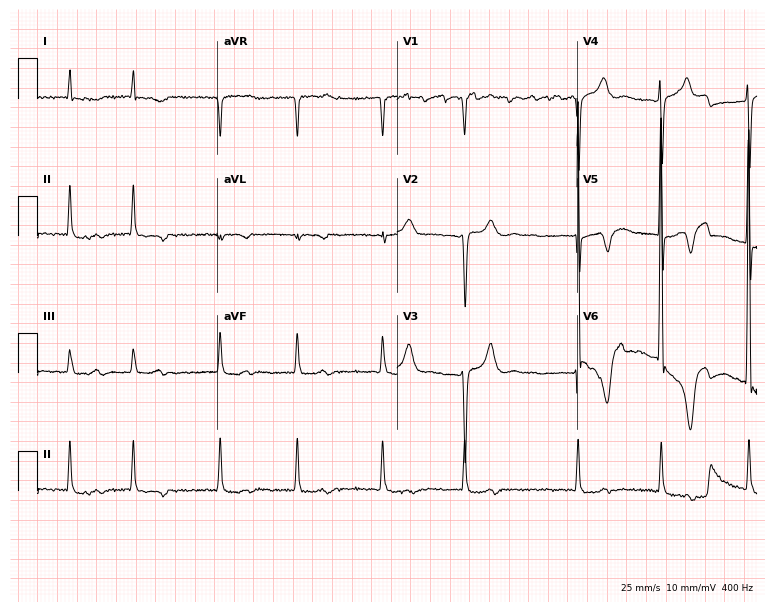
ECG (7.3-second recording at 400 Hz) — an 82-year-old male. Findings include atrial fibrillation (AF).